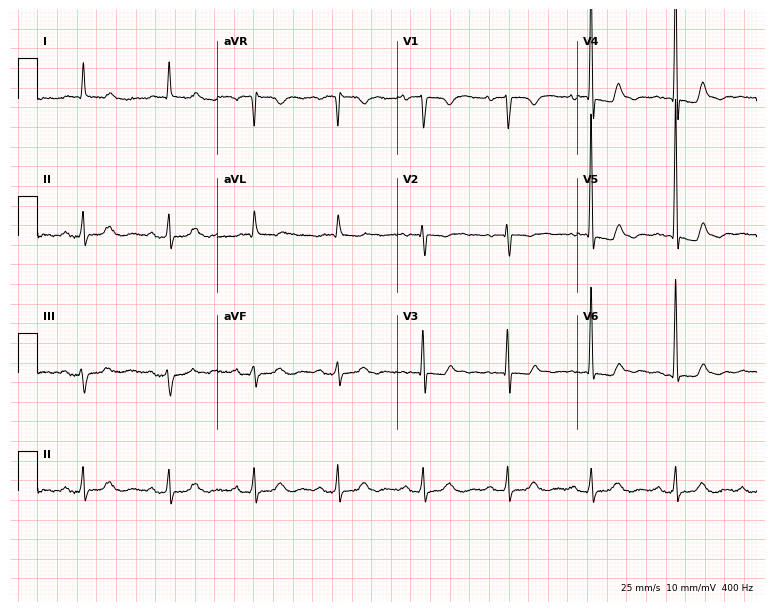
12-lead ECG from a female, 78 years old (7.3-second recording at 400 Hz). No first-degree AV block, right bundle branch block (RBBB), left bundle branch block (LBBB), sinus bradycardia, atrial fibrillation (AF) or sinus tachycardia recorded for this tracing. Other findings, if any, are not listed.